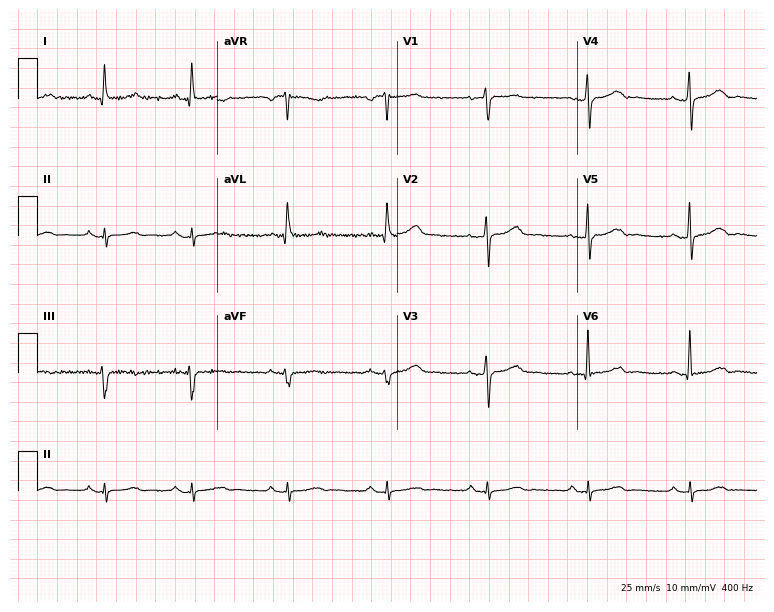
12-lead ECG from a female, 60 years old (7.3-second recording at 400 Hz). No first-degree AV block, right bundle branch block, left bundle branch block, sinus bradycardia, atrial fibrillation or sinus tachycardia recorded for this tracing. Findings outside these six are not listed.